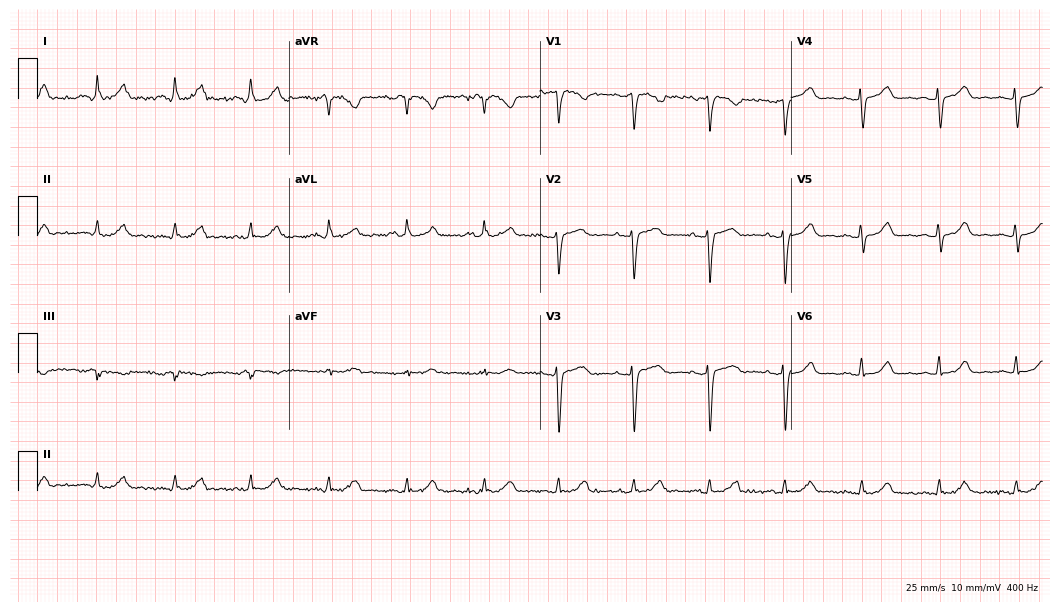
12-lead ECG (10.2-second recording at 400 Hz) from a woman, 57 years old. Labelled as a normal ECG.